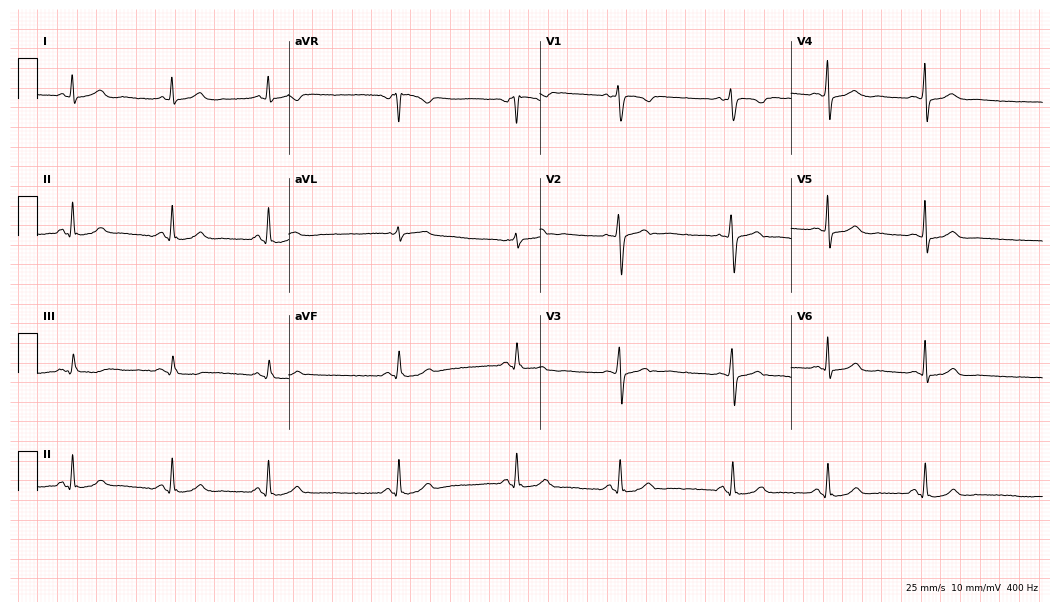
Electrocardiogram (10.2-second recording at 400 Hz), a female patient, 32 years old. Of the six screened findings (first-degree AV block, right bundle branch block (RBBB), left bundle branch block (LBBB), sinus bradycardia, atrial fibrillation (AF), sinus tachycardia), none is recorded. Other findings, if any, are not listed.